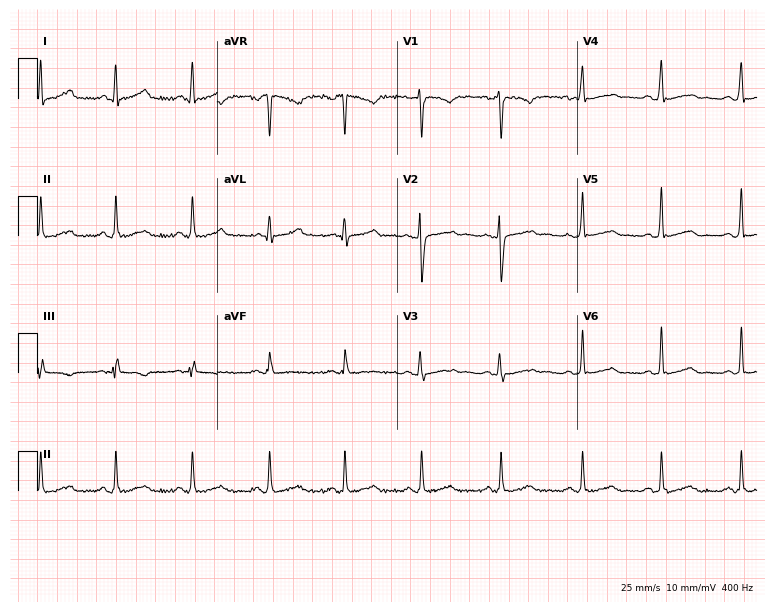
Standard 12-lead ECG recorded from a male patient, 31 years old. Read as a normal ECG.